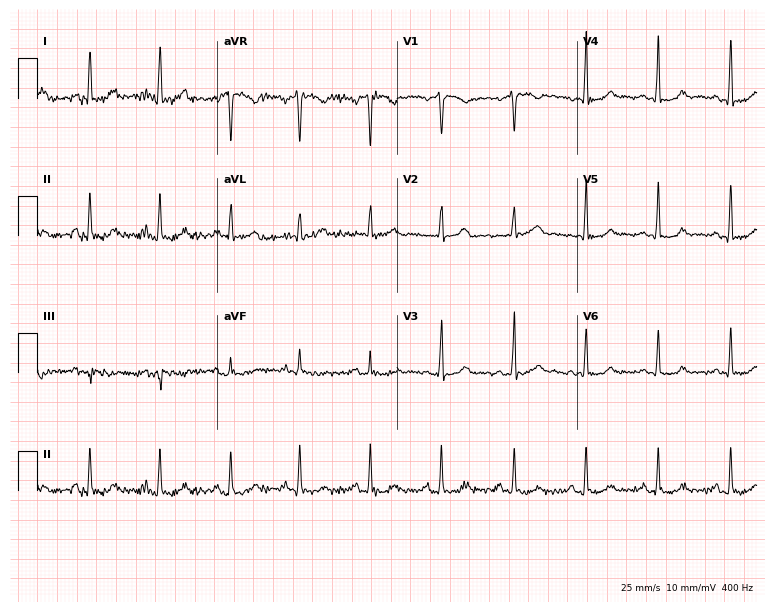
12-lead ECG (7.3-second recording at 400 Hz) from a 47-year-old female patient. Labelled as a normal ECG.